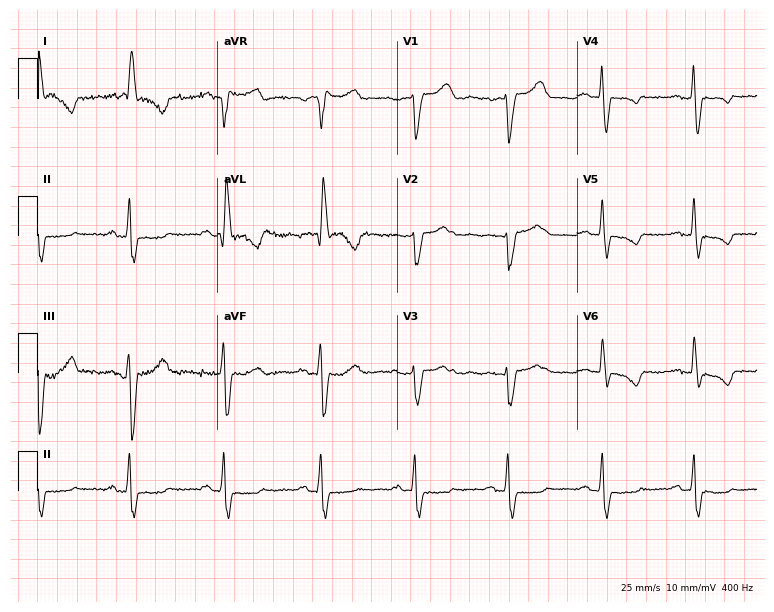
12-lead ECG from a woman, 62 years old. Shows left bundle branch block.